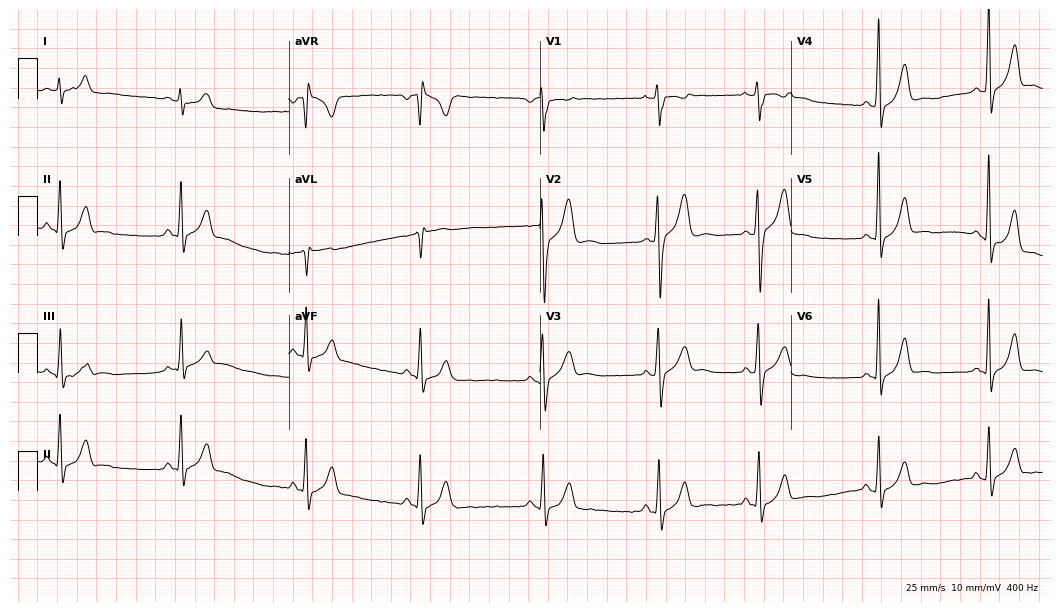
ECG — a 17-year-old male. Screened for six findings — first-degree AV block, right bundle branch block (RBBB), left bundle branch block (LBBB), sinus bradycardia, atrial fibrillation (AF), sinus tachycardia — none is recorded. Only these six findings were labelled.